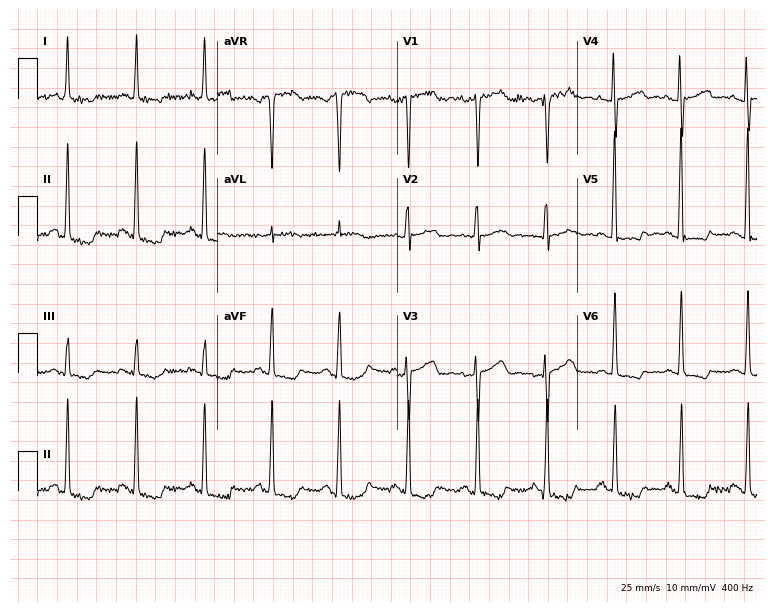
ECG (7.3-second recording at 400 Hz) — a woman, 59 years old. Screened for six findings — first-degree AV block, right bundle branch block (RBBB), left bundle branch block (LBBB), sinus bradycardia, atrial fibrillation (AF), sinus tachycardia — none is recorded.